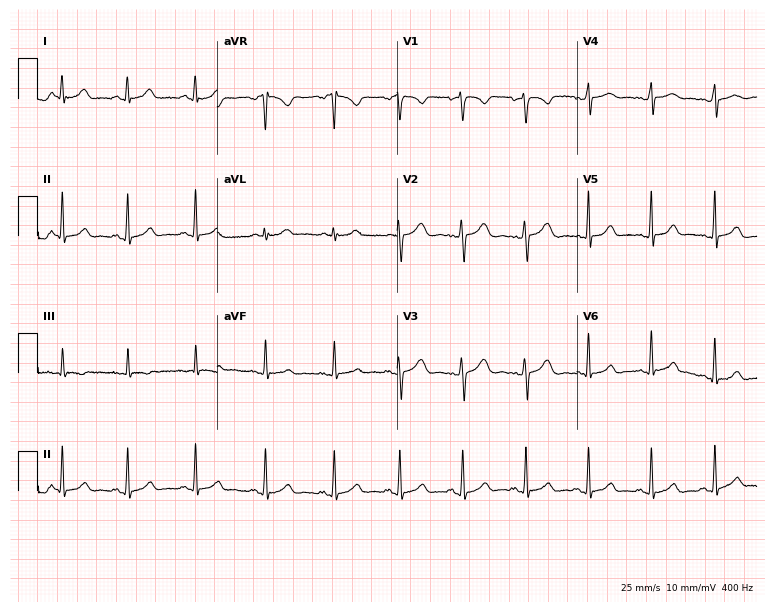
12-lead ECG from a man, 28 years old. Labelled as a normal ECG.